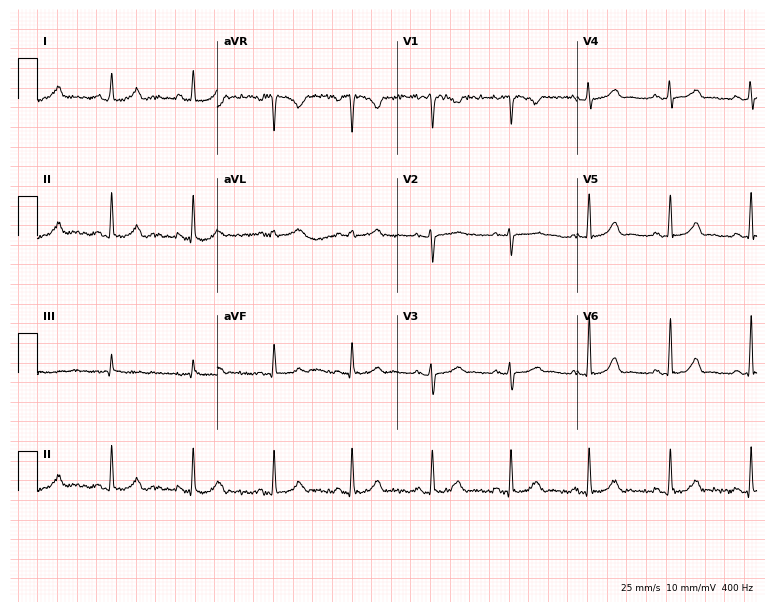
Electrocardiogram, a woman, 35 years old. Overall reading on record: normal ECG.